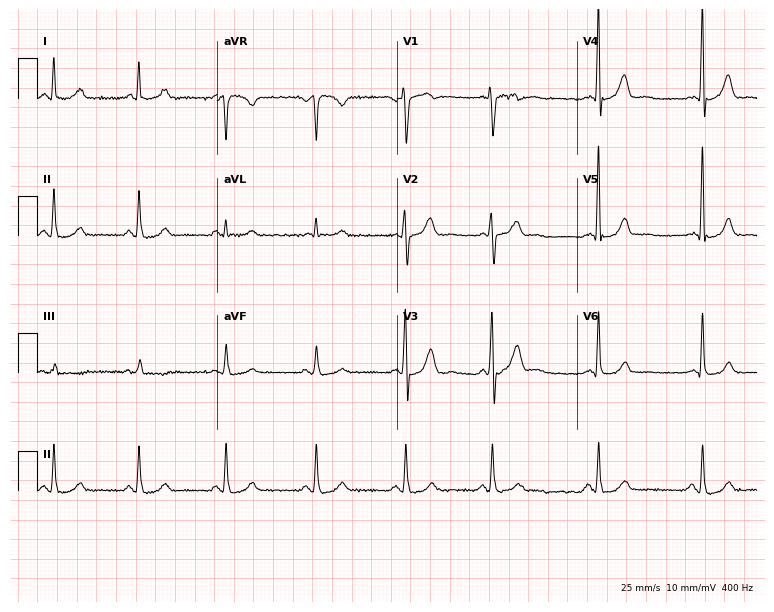
12-lead ECG from a 74-year-old male patient. No first-degree AV block, right bundle branch block (RBBB), left bundle branch block (LBBB), sinus bradycardia, atrial fibrillation (AF) or sinus tachycardia recorded for this tracing. Only these six findings were labelled.